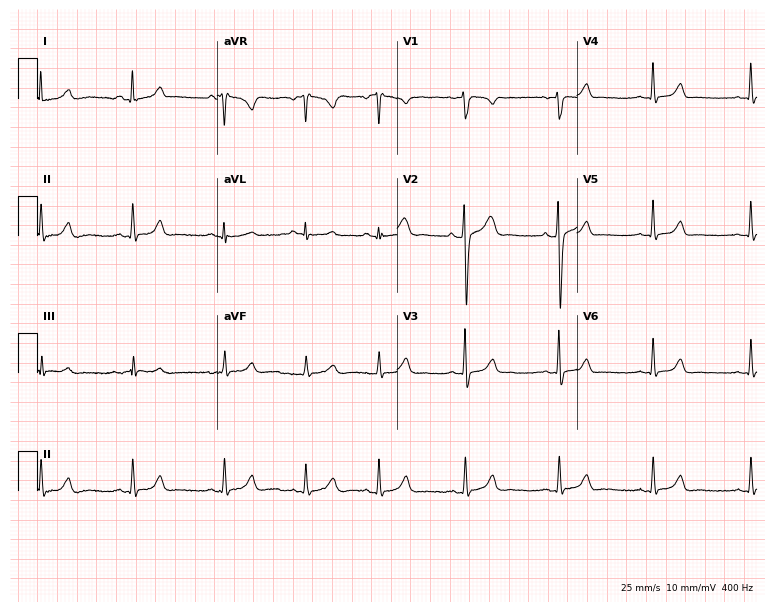
Standard 12-lead ECG recorded from a 23-year-old female patient (7.3-second recording at 400 Hz). None of these six findings is recorded: first-degree AV block, right bundle branch block, left bundle branch block, sinus bradycardia, atrial fibrillation, sinus tachycardia.